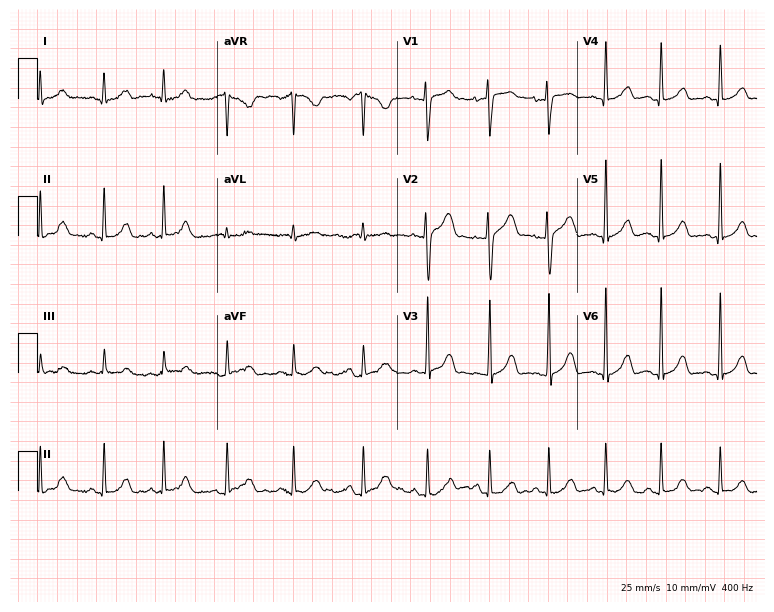
Standard 12-lead ECG recorded from a 77-year-old woman (7.3-second recording at 400 Hz). Read as a normal ECG.